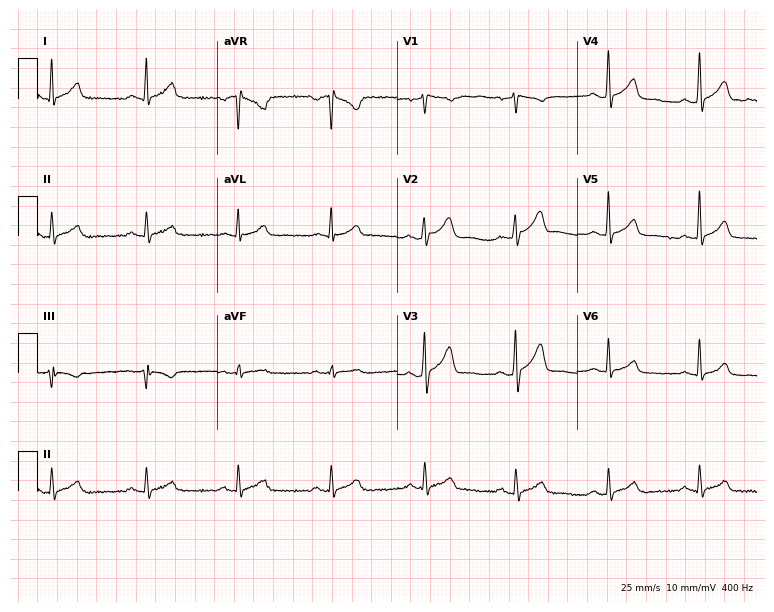
Standard 12-lead ECG recorded from a male patient, 36 years old. None of these six findings is recorded: first-degree AV block, right bundle branch block, left bundle branch block, sinus bradycardia, atrial fibrillation, sinus tachycardia. Other findings, if any, are not listed.